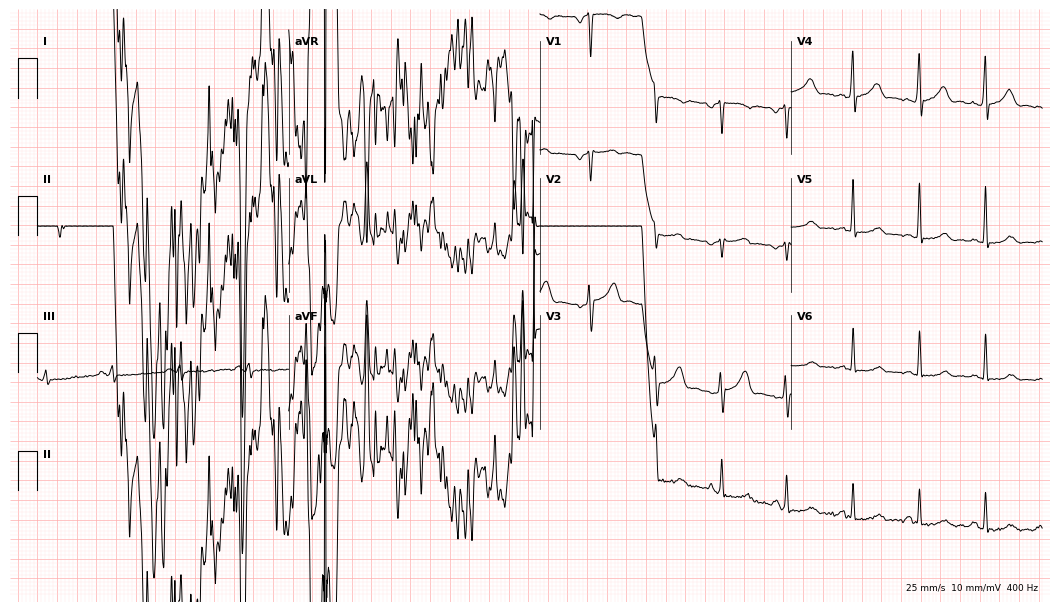
12-lead ECG from a woman, 57 years old (10.2-second recording at 400 Hz). No first-degree AV block, right bundle branch block, left bundle branch block, sinus bradycardia, atrial fibrillation or sinus tachycardia recorded for this tracing. Findings outside these six are not listed.